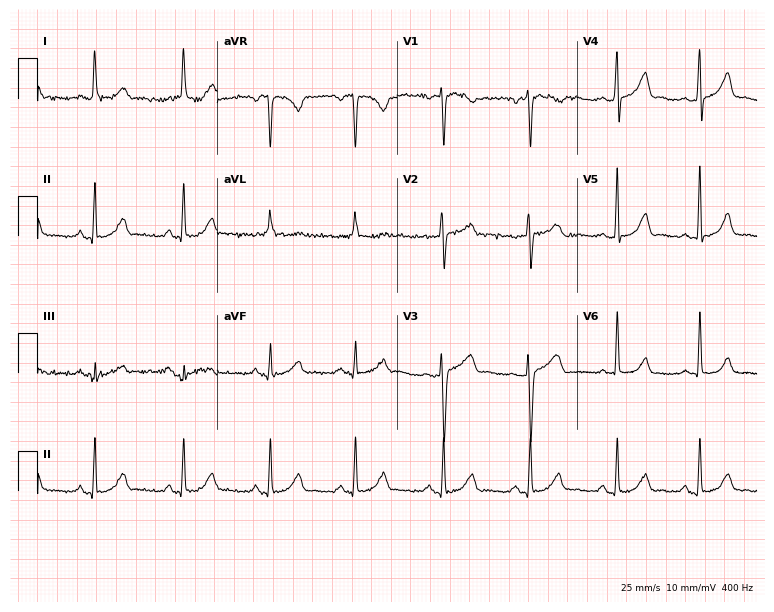
ECG (7.3-second recording at 400 Hz) — a female patient, 43 years old. Labelled as a normal ECG.